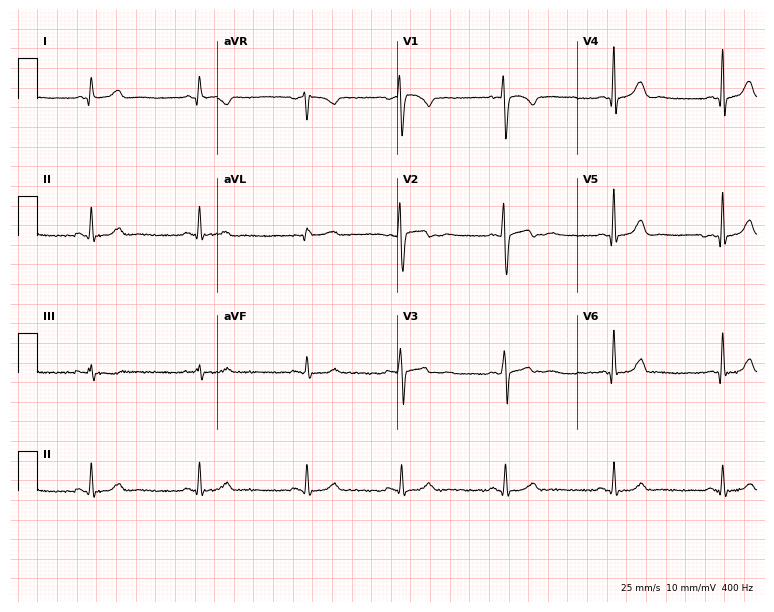
Standard 12-lead ECG recorded from a female patient, 22 years old. None of these six findings is recorded: first-degree AV block, right bundle branch block, left bundle branch block, sinus bradycardia, atrial fibrillation, sinus tachycardia. Only these six findings were labelled.